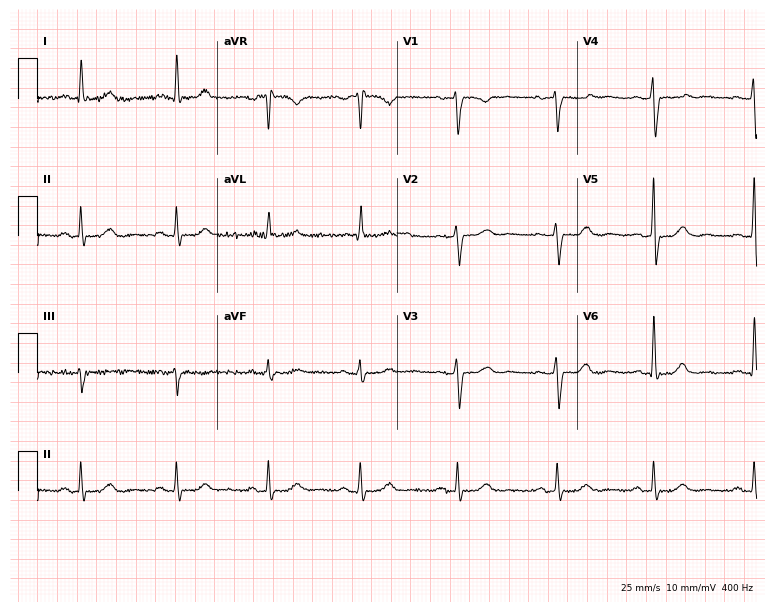
12-lead ECG from a woman, 63 years old. Labelled as a normal ECG.